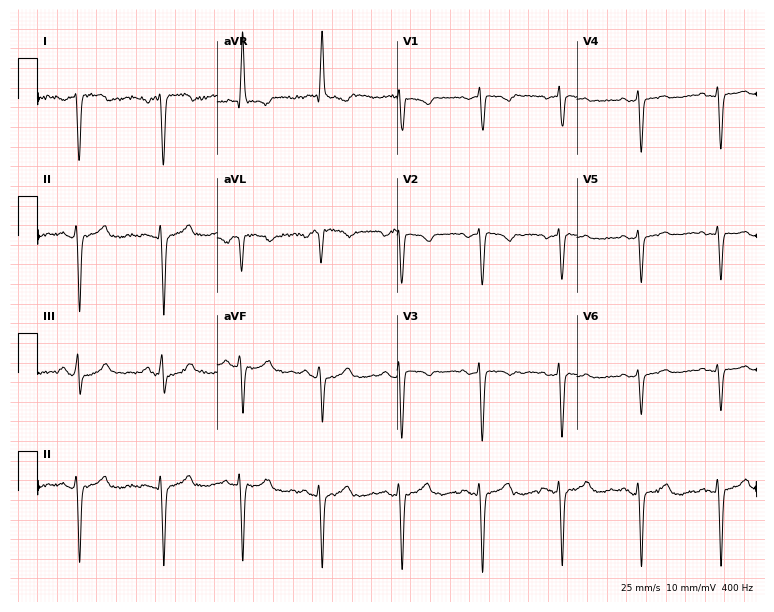
Electrocardiogram, a female patient, 55 years old. Of the six screened findings (first-degree AV block, right bundle branch block, left bundle branch block, sinus bradycardia, atrial fibrillation, sinus tachycardia), none is recorded.